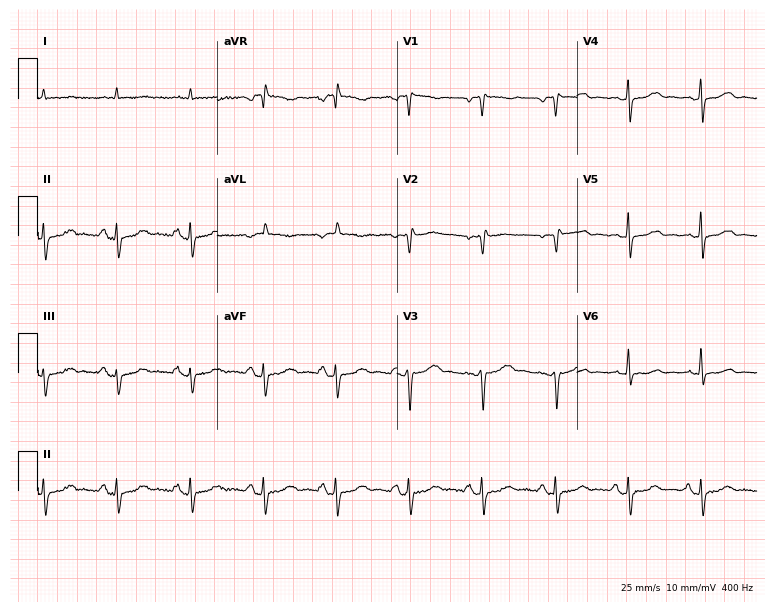
Electrocardiogram, a 73-year-old man. Of the six screened findings (first-degree AV block, right bundle branch block (RBBB), left bundle branch block (LBBB), sinus bradycardia, atrial fibrillation (AF), sinus tachycardia), none is recorded. Only these six findings were labelled.